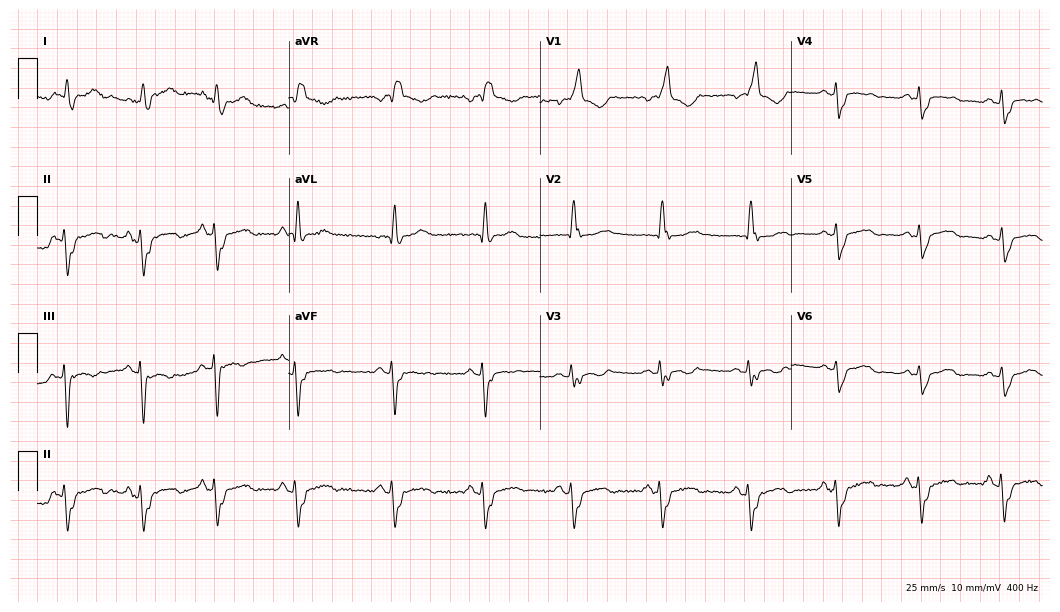
Resting 12-lead electrocardiogram. Patient: a 55-year-old female. None of these six findings is recorded: first-degree AV block, right bundle branch block, left bundle branch block, sinus bradycardia, atrial fibrillation, sinus tachycardia.